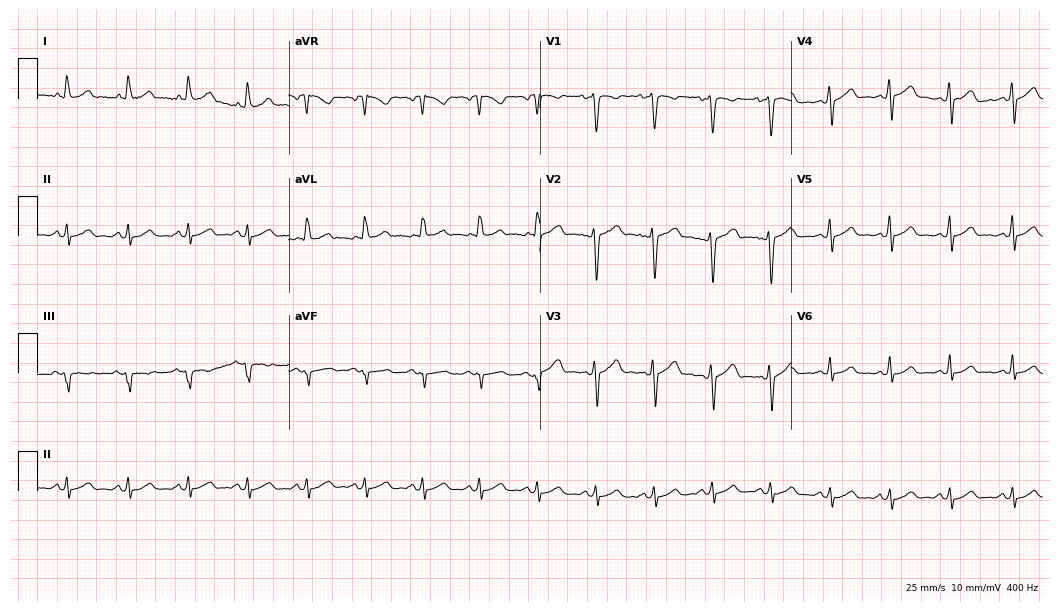
Resting 12-lead electrocardiogram (10.2-second recording at 400 Hz). Patient: a 30-year-old woman. Read as a normal ECG.